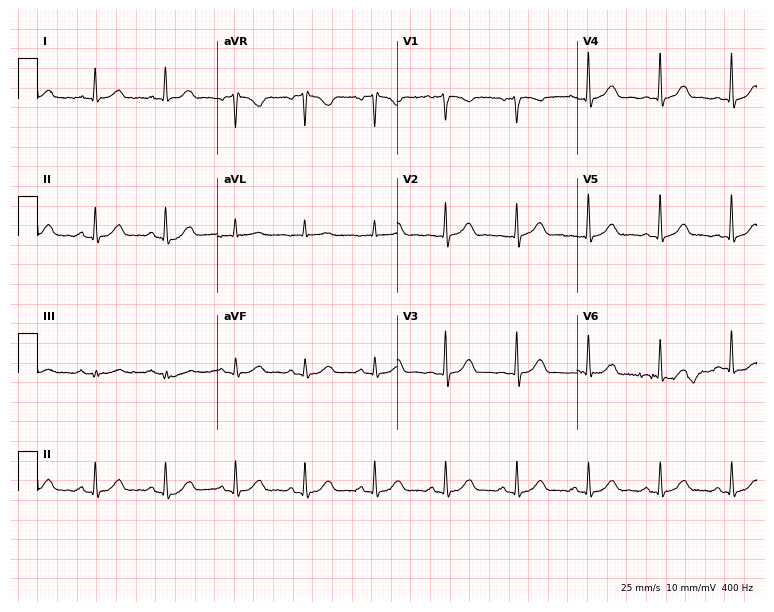
Resting 12-lead electrocardiogram. Patient: a 66-year-old woman. Read as a normal ECG.